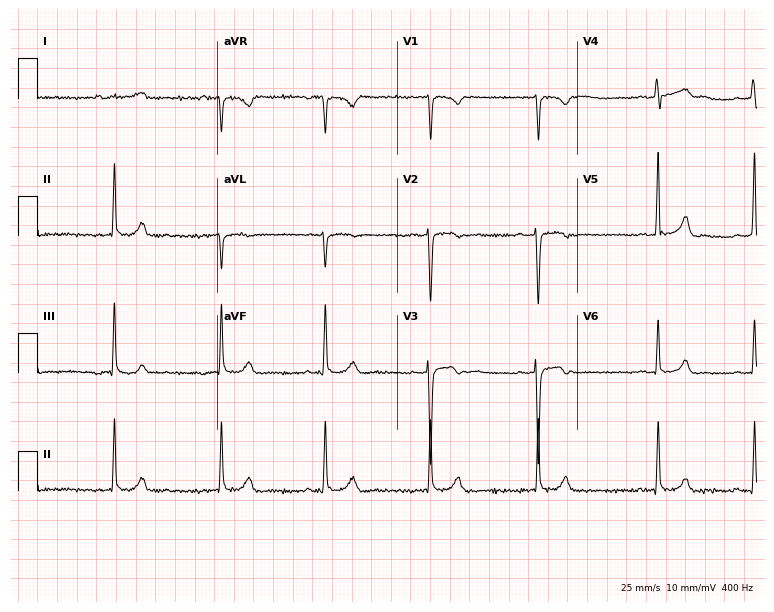
Resting 12-lead electrocardiogram (7.3-second recording at 400 Hz). Patient: a woman, 22 years old. Read as a normal ECG.